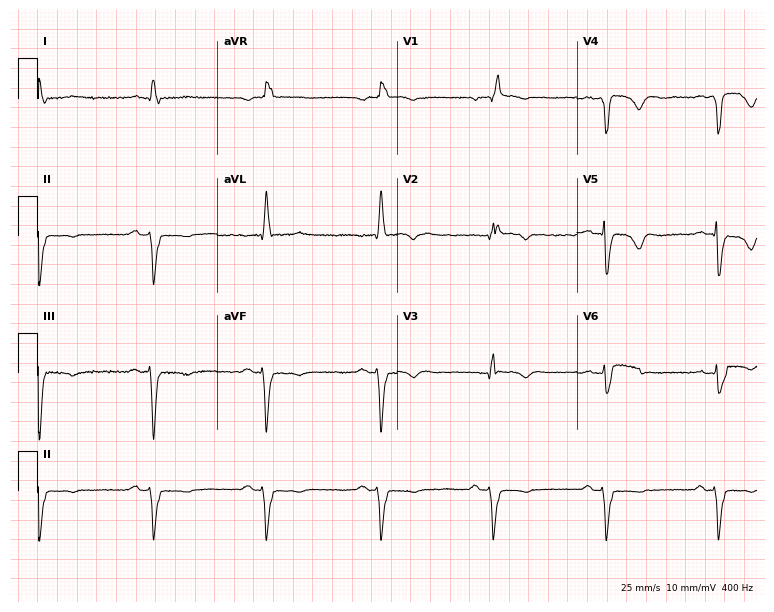
Standard 12-lead ECG recorded from a male, 75 years old. The tracing shows right bundle branch block.